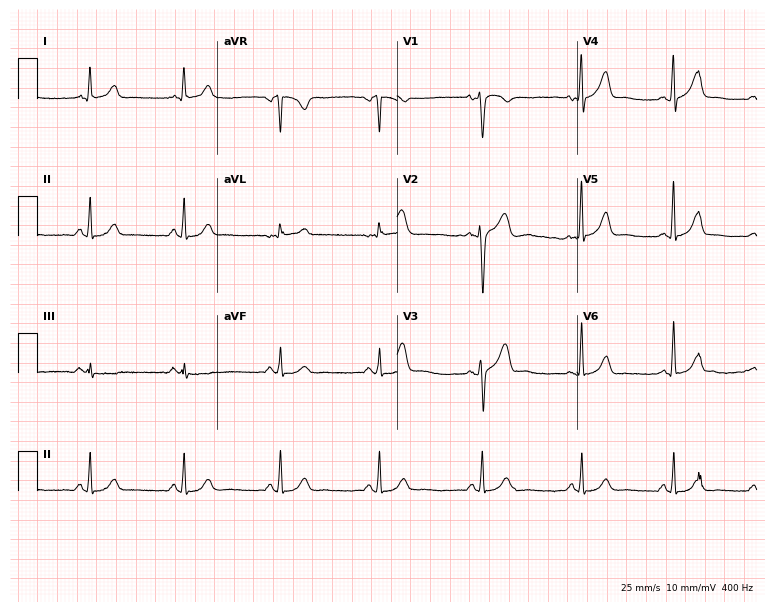
Electrocardiogram (7.3-second recording at 400 Hz), a woman, 49 years old. Of the six screened findings (first-degree AV block, right bundle branch block, left bundle branch block, sinus bradycardia, atrial fibrillation, sinus tachycardia), none is recorded.